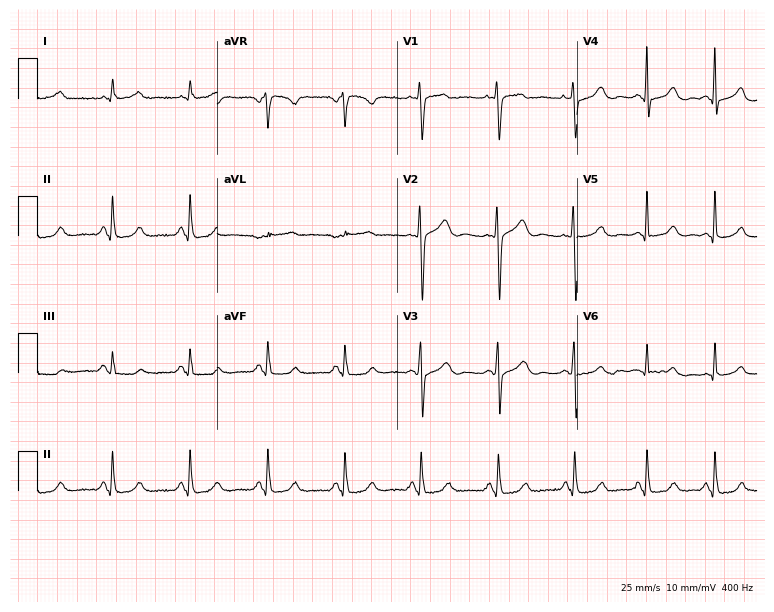
ECG — a 52-year-old woman. Labelled as a normal ECG.